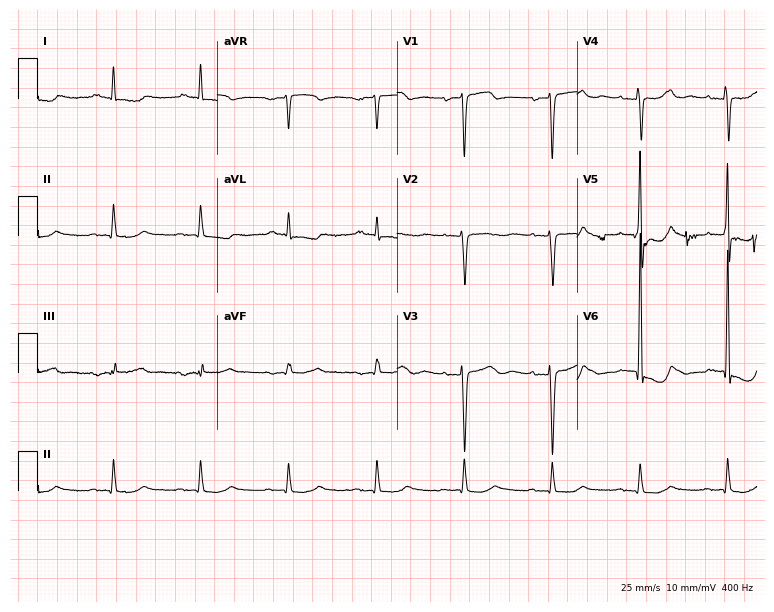
ECG — a male patient, 75 years old. Findings include first-degree AV block.